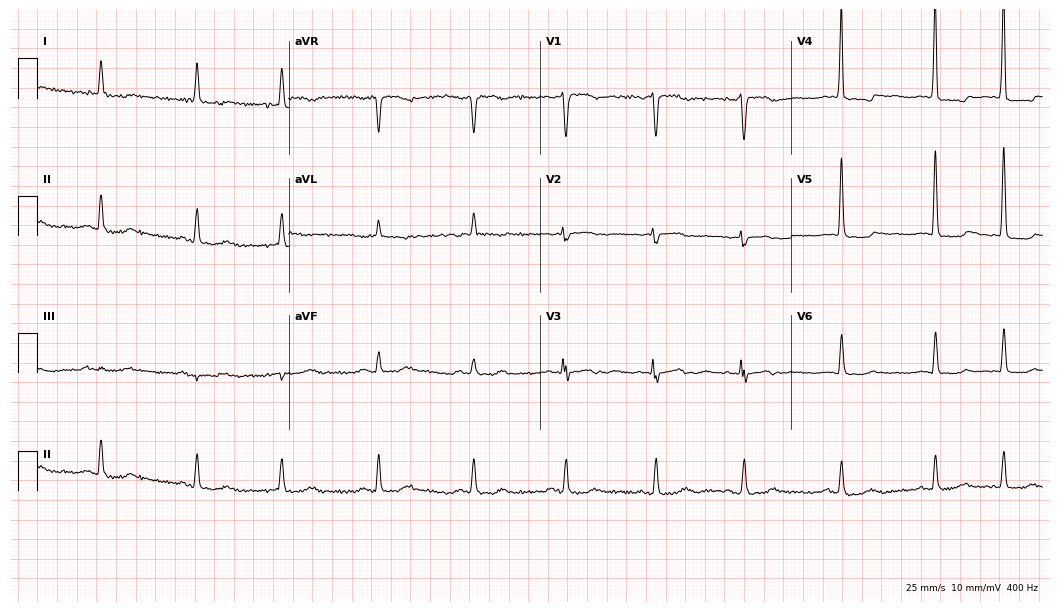
12-lead ECG (10.2-second recording at 400 Hz) from a woman, 74 years old. Screened for six findings — first-degree AV block, right bundle branch block, left bundle branch block, sinus bradycardia, atrial fibrillation, sinus tachycardia — none is recorded.